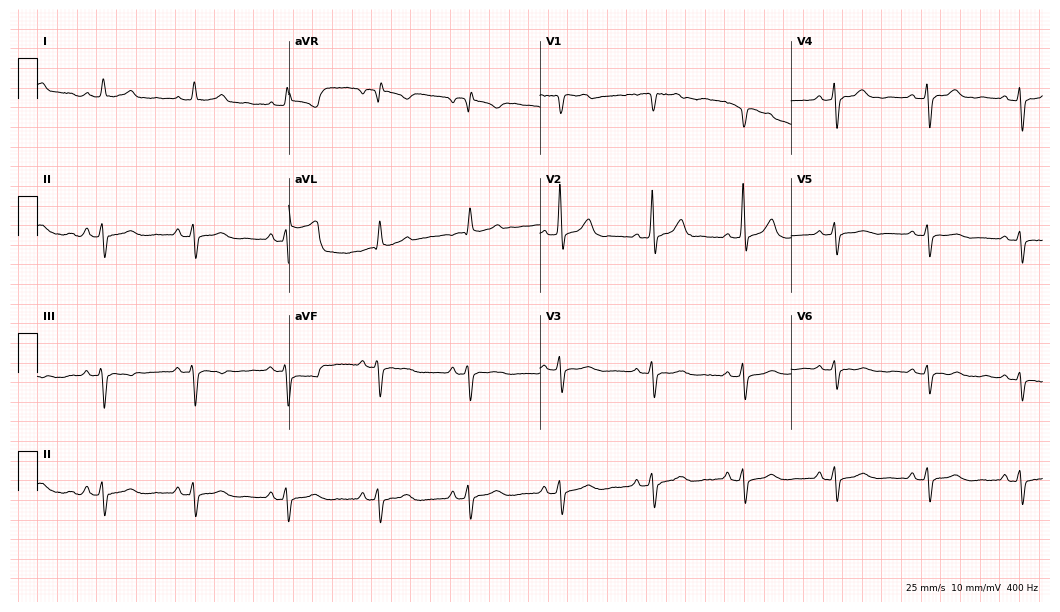
Electrocardiogram, a man, 76 years old. Of the six screened findings (first-degree AV block, right bundle branch block, left bundle branch block, sinus bradycardia, atrial fibrillation, sinus tachycardia), none is recorded. Findings outside these six are not listed.